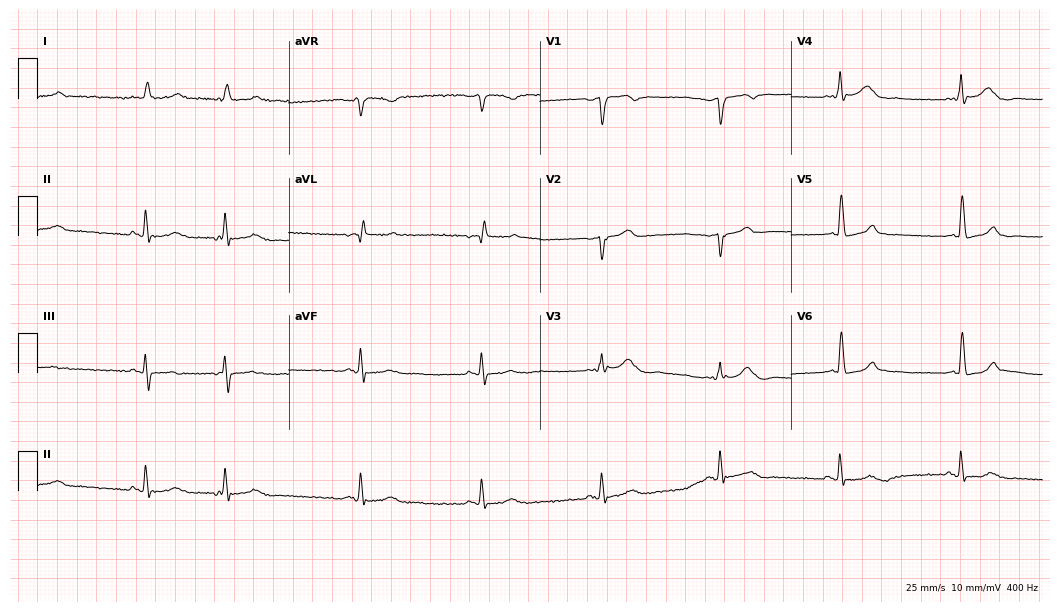
ECG — a male, 80 years old. Screened for six findings — first-degree AV block, right bundle branch block (RBBB), left bundle branch block (LBBB), sinus bradycardia, atrial fibrillation (AF), sinus tachycardia — none is recorded. Findings outside these six are not listed.